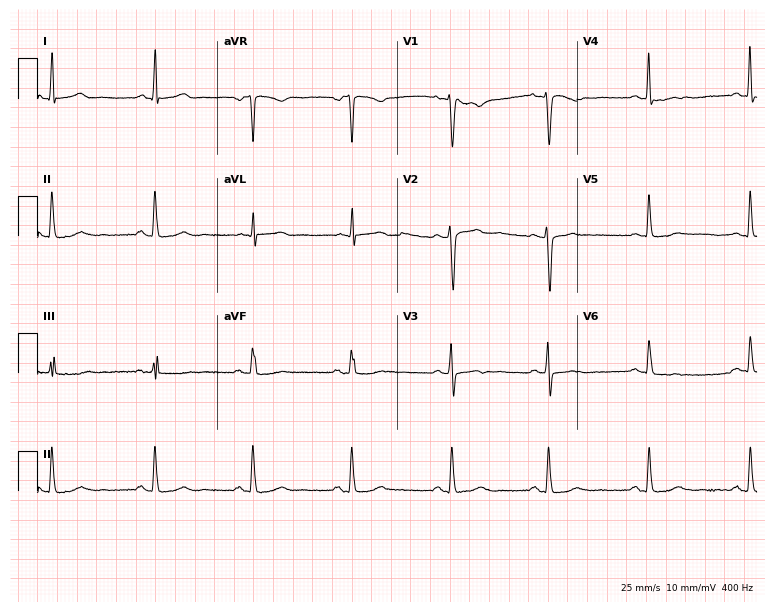
Standard 12-lead ECG recorded from a woman, 64 years old. None of these six findings is recorded: first-degree AV block, right bundle branch block, left bundle branch block, sinus bradycardia, atrial fibrillation, sinus tachycardia.